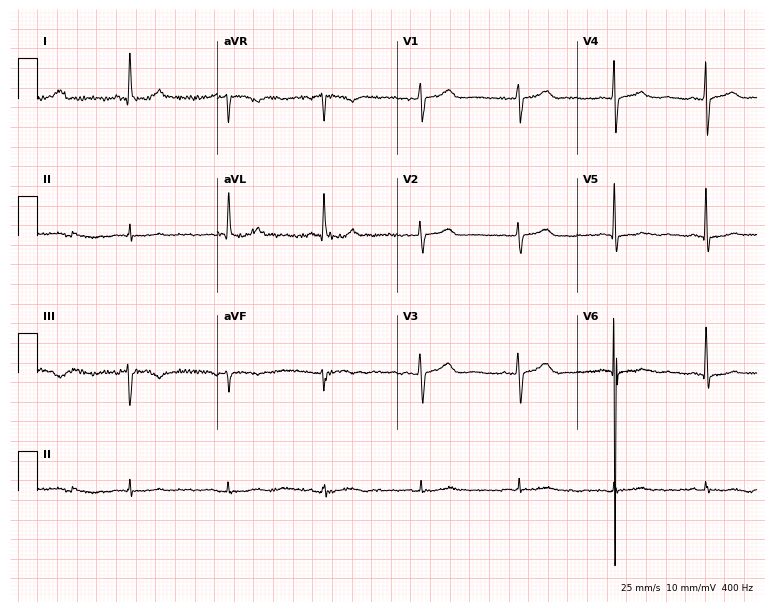
12-lead ECG from a female patient, 64 years old (7.3-second recording at 400 Hz). No first-degree AV block, right bundle branch block, left bundle branch block, sinus bradycardia, atrial fibrillation or sinus tachycardia recorded for this tracing.